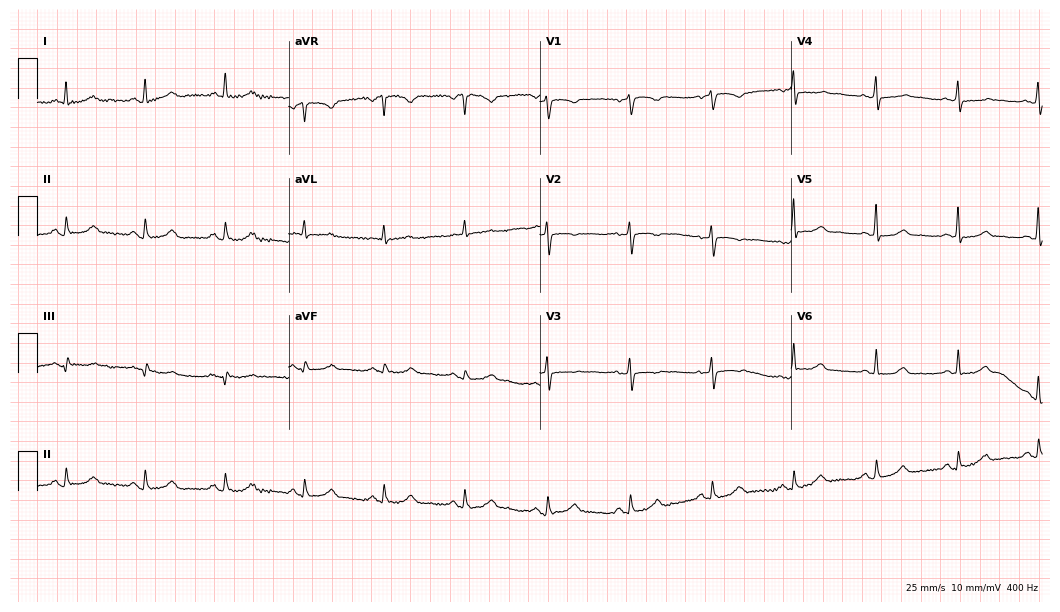
Standard 12-lead ECG recorded from a woman, 59 years old. None of these six findings is recorded: first-degree AV block, right bundle branch block, left bundle branch block, sinus bradycardia, atrial fibrillation, sinus tachycardia. Findings outside these six are not listed.